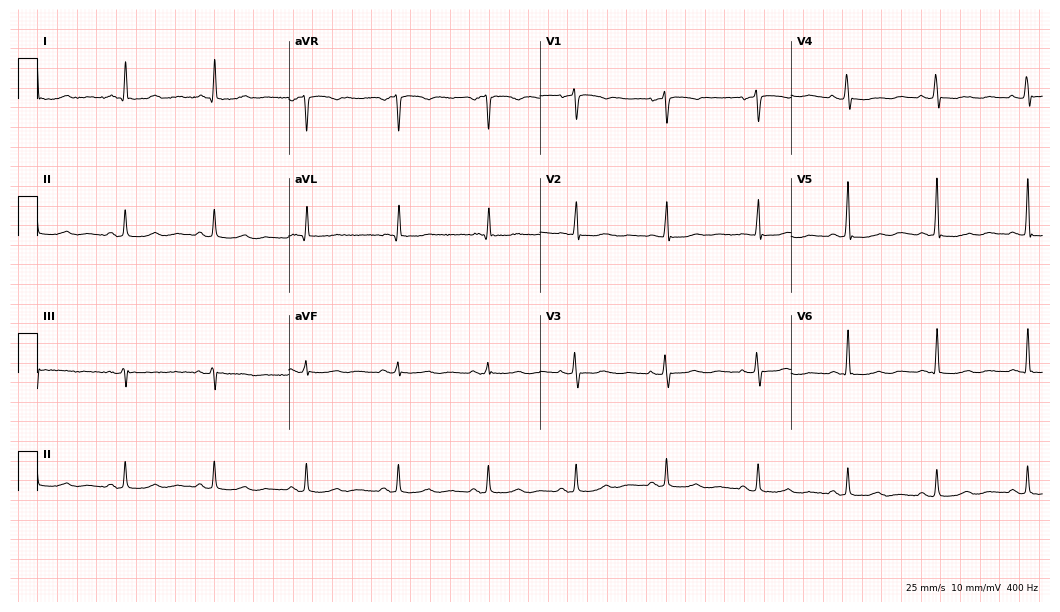
Standard 12-lead ECG recorded from a woman, 63 years old. None of these six findings is recorded: first-degree AV block, right bundle branch block (RBBB), left bundle branch block (LBBB), sinus bradycardia, atrial fibrillation (AF), sinus tachycardia. Findings outside these six are not listed.